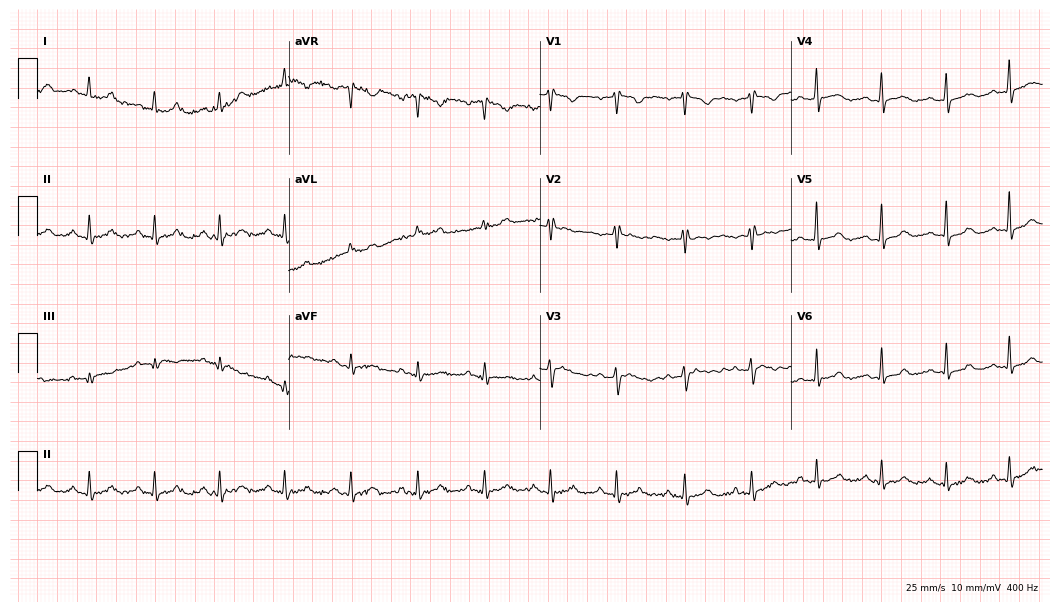
12-lead ECG (10.2-second recording at 400 Hz) from a 27-year-old man. Labelled as a normal ECG.